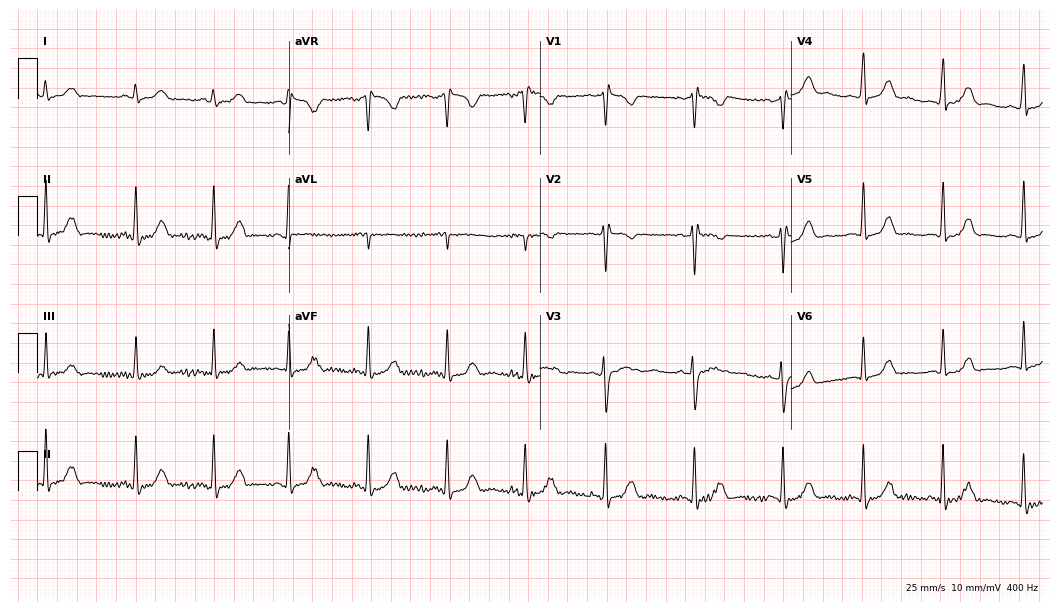
ECG (10.2-second recording at 400 Hz) — a female, 32 years old. Screened for six findings — first-degree AV block, right bundle branch block, left bundle branch block, sinus bradycardia, atrial fibrillation, sinus tachycardia — none is recorded.